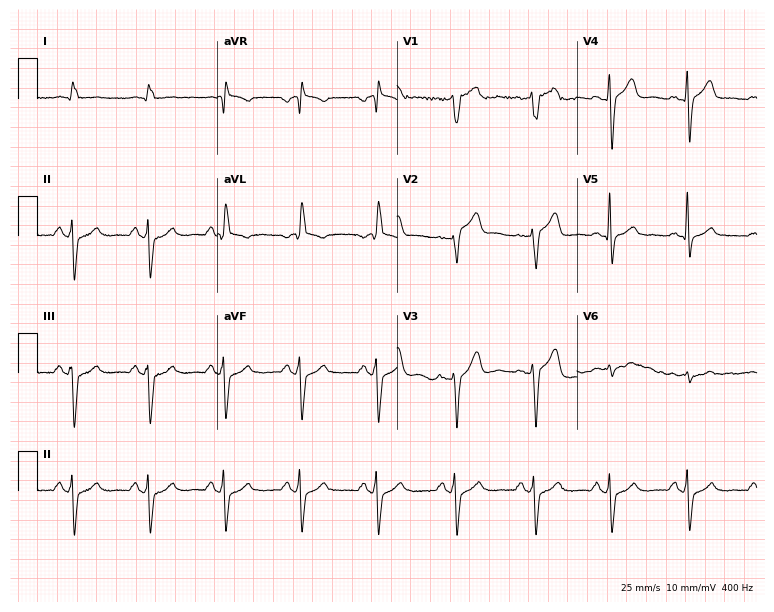
12-lead ECG from a 63-year-old male patient (7.3-second recording at 400 Hz). No first-degree AV block, right bundle branch block (RBBB), left bundle branch block (LBBB), sinus bradycardia, atrial fibrillation (AF) or sinus tachycardia recorded for this tracing. Findings outside these six are not listed.